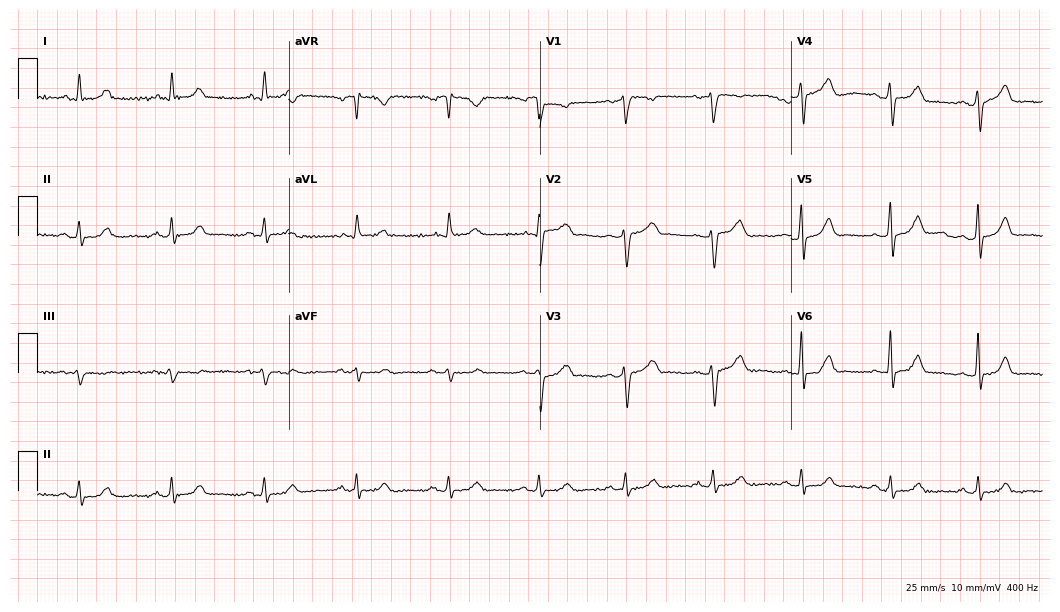
Electrocardiogram, a male patient, 56 years old. Overall reading on record: normal ECG.